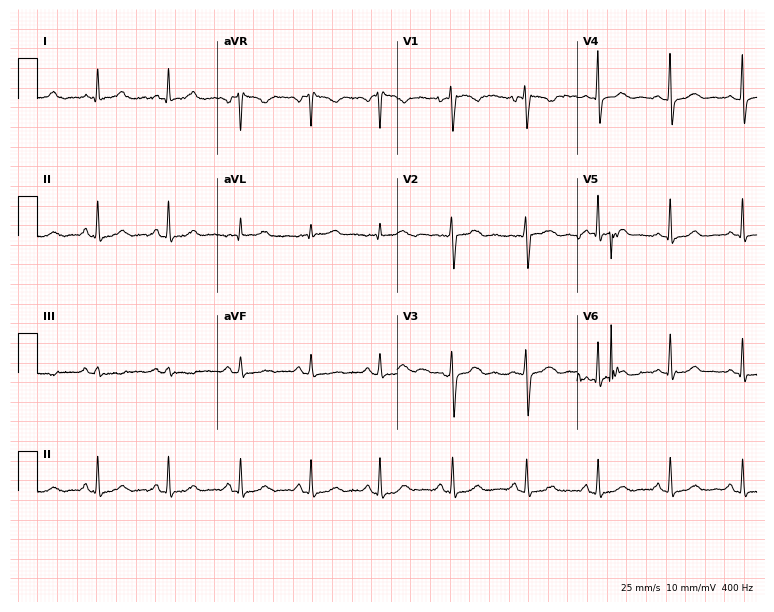
12-lead ECG from a woman, 46 years old. Screened for six findings — first-degree AV block, right bundle branch block, left bundle branch block, sinus bradycardia, atrial fibrillation, sinus tachycardia — none is recorded.